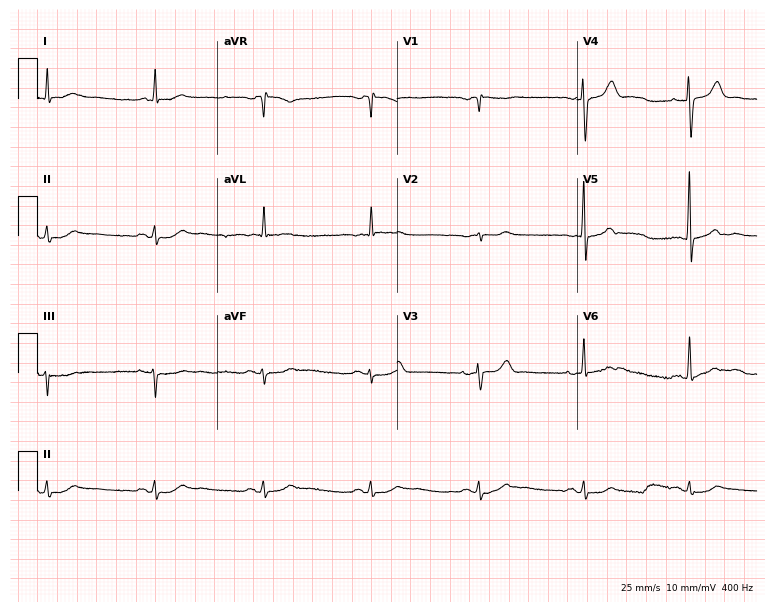
ECG (7.3-second recording at 400 Hz) — a female patient, 82 years old. Labelled as a normal ECG.